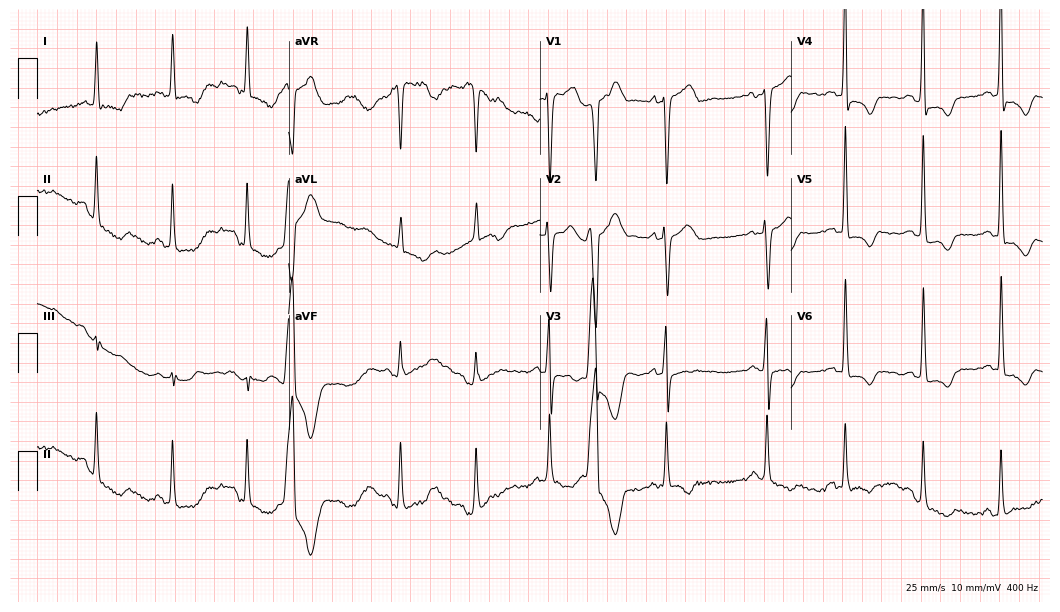
Standard 12-lead ECG recorded from a 64-year-old woman (10.2-second recording at 400 Hz). None of these six findings is recorded: first-degree AV block, right bundle branch block, left bundle branch block, sinus bradycardia, atrial fibrillation, sinus tachycardia.